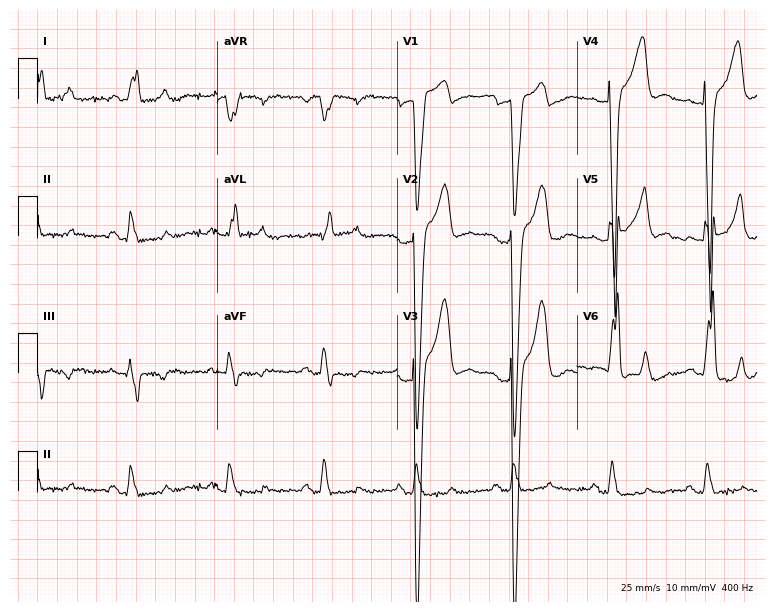
Electrocardiogram (7.3-second recording at 400 Hz), a male patient, 65 years old. Interpretation includes left bundle branch block.